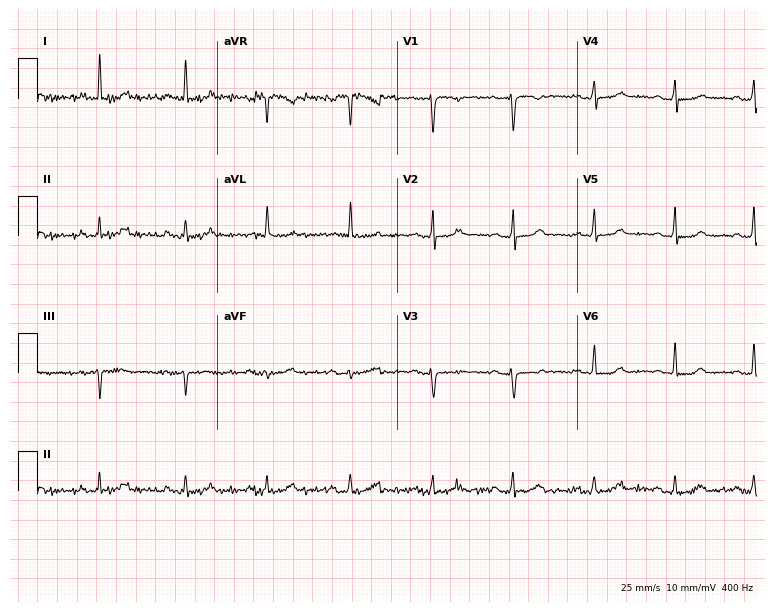
ECG (7.3-second recording at 400 Hz) — a female patient, 44 years old. Screened for six findings — first-degree AV block, right bundle branch block (RBBB), left bundle branch block (LBBB), sinus bradycardia, atrial fibrillation (AF), sinus tachycardia — none is recorded.